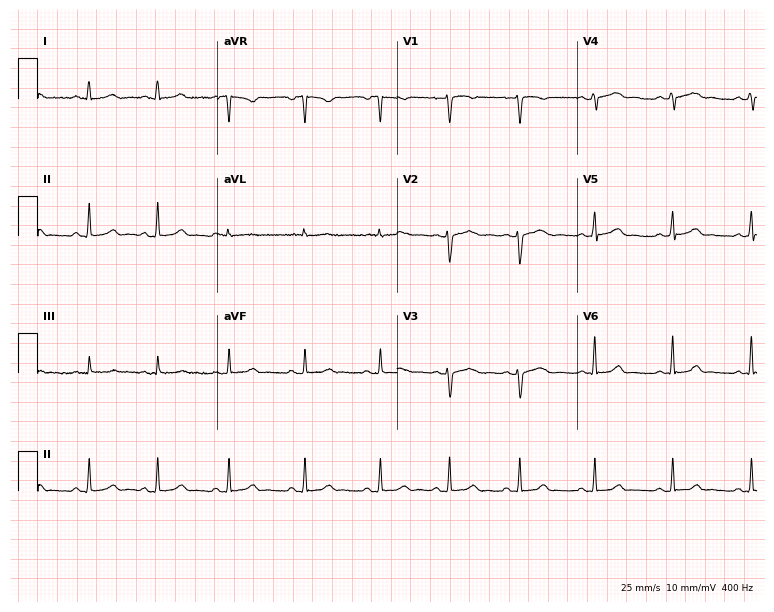
Standard 12-lead ECG recorded from a 22-year-old female (7.3-second recording at 400 Hz). None of these six findings is recorded: first-degree AV block, right bundle branch block (RBBB), left bundle branch block (LBBB), sinus bradycardia, atrial fibrillation (AF), sinus tachycardia.